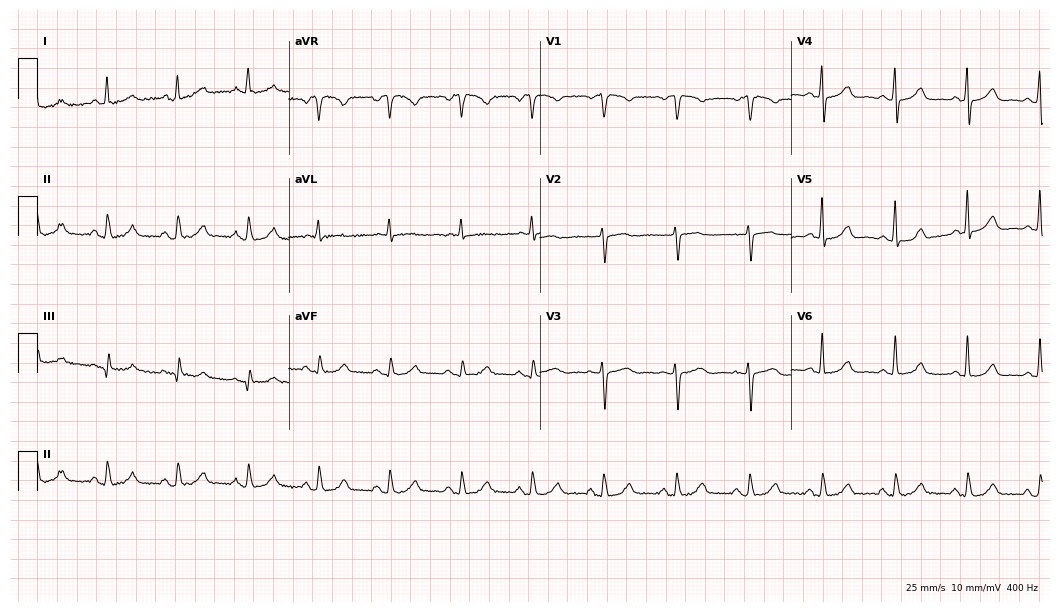
12-lead ECG (10.2-second recording at 400 Hz) from an 80-year-old female patient. Labelled as a normal ECG.